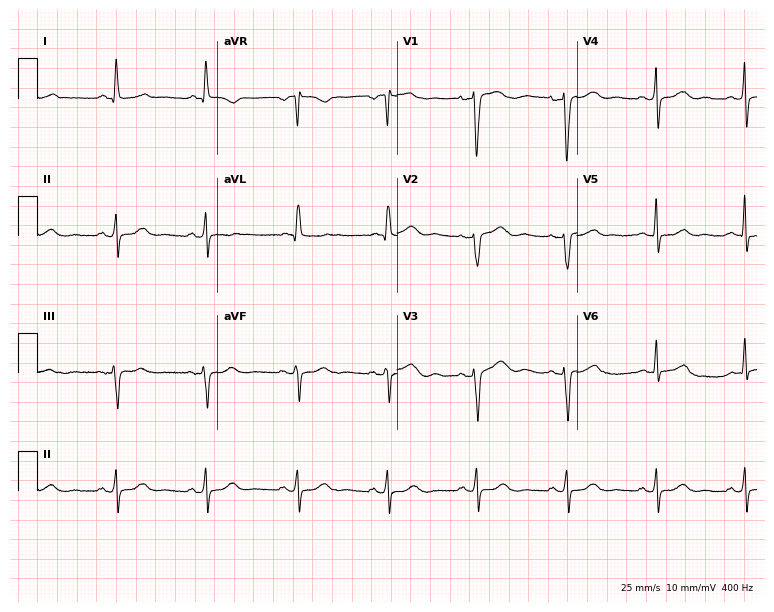
Resting 12-lead electrocardiogram (7.3-second recording at 400 Hz). Patient: a 70-year-old female. None of these six findings is recorded: first-degree AV block, right bundle branch block, left bundle branch block, sinus bradycardia, atrial fibrillation, sinus tachycardia.